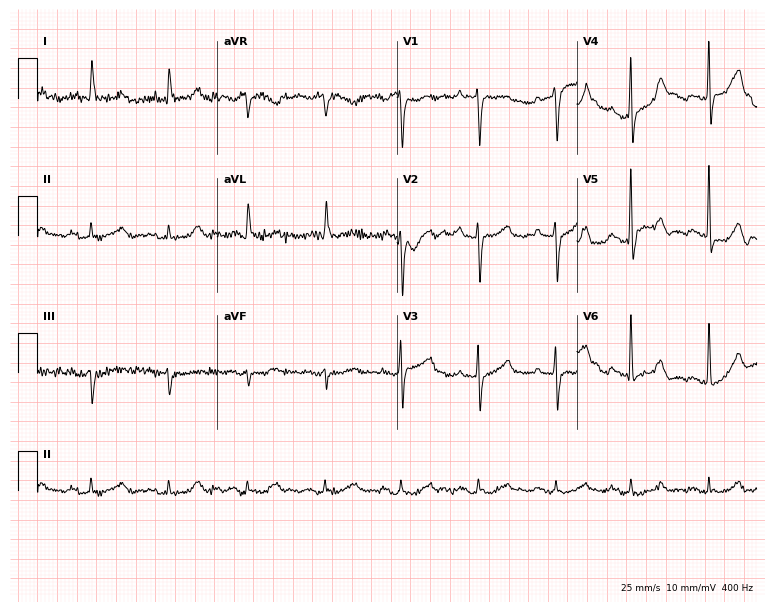
Standard 12-lead ECG recorded from a female, 84 years old. None of these six findings is recorded: first-degree AV block, right bundle branch block, left bundle branch block, sinus bradycardia, atrial fibrillation, sinus tachycardia.